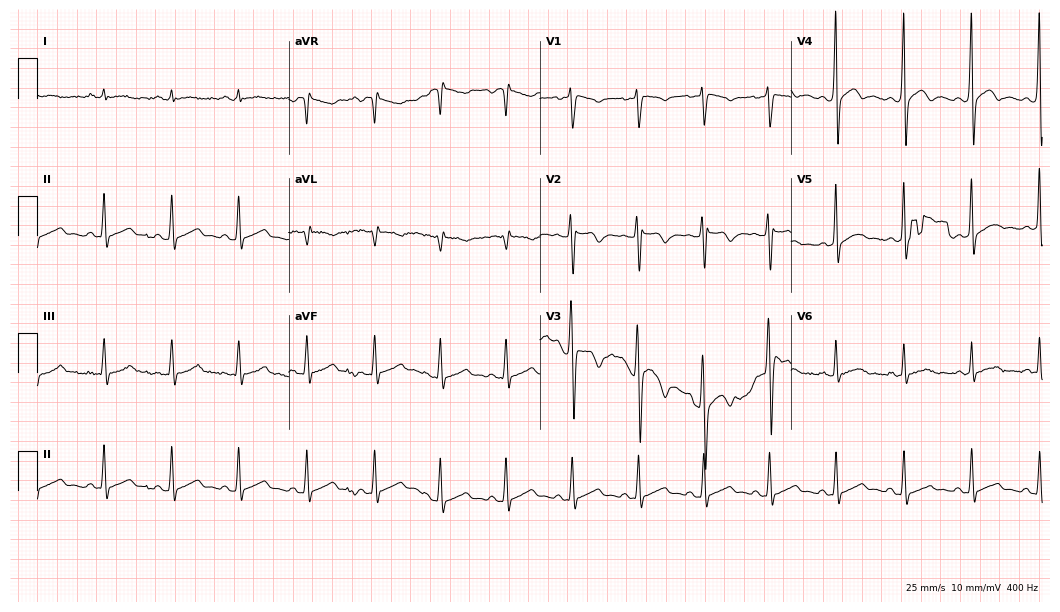
Standard 12-lead ECG recorded from a male, 21 years old (10.2-second recording at 400 Hz). None of these six findings is recorded: first-degree AV block, right bundle branch block, left bundle branch block, sinus bradycardia, atrial fibrillation, sinus tachycardia. Only these six findings were labelled.